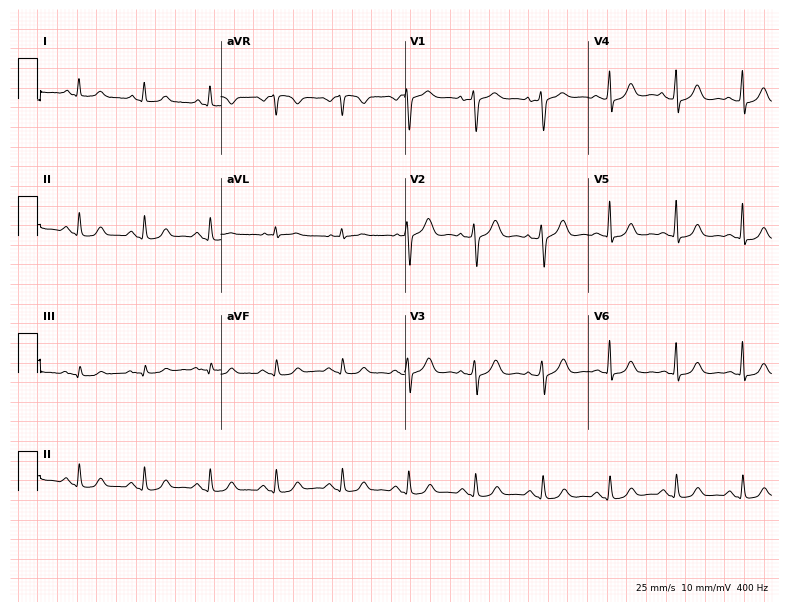
12-lead ECG from a 47-year-old female (7.5-second recording at 400 Hz). Recorded interpretation: within normal limits.